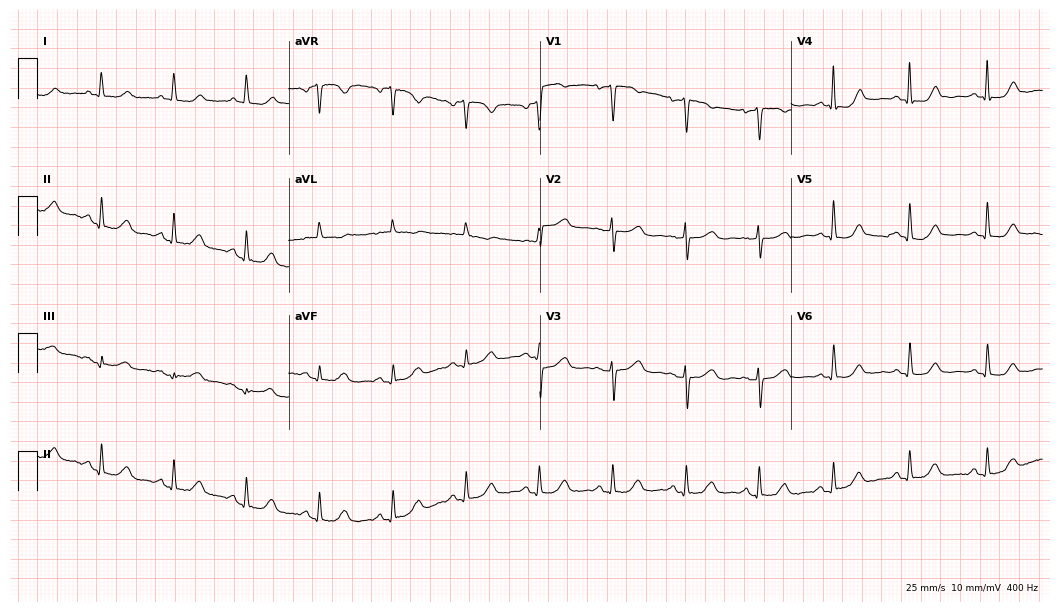
Resting 12-lead electrocardiogram (10.2-second recording at 400 Hz). Patient: a 77-year-old female. Read as a normal ECG.